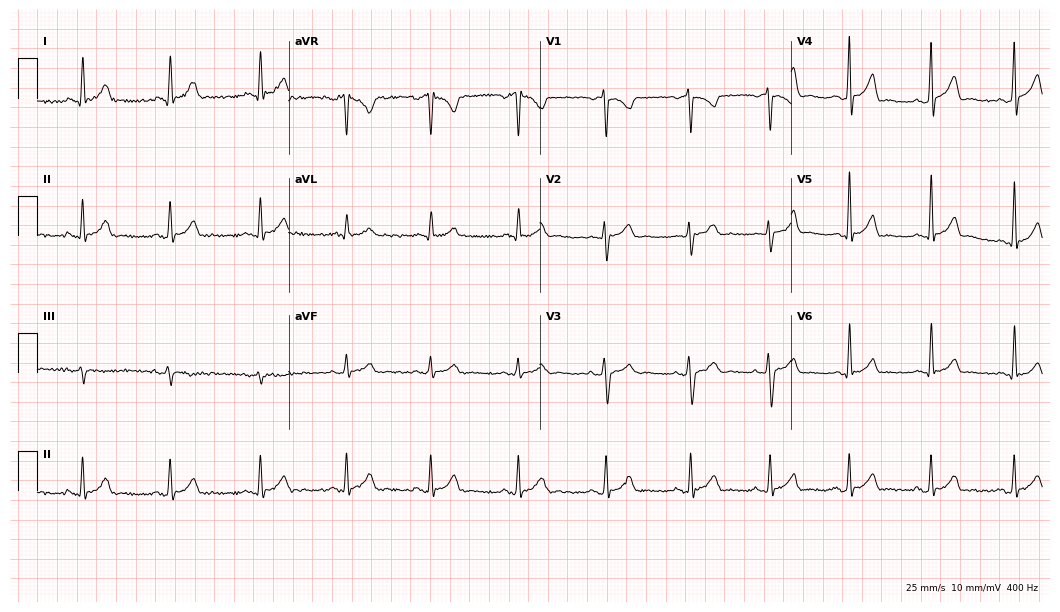
Electrocardiogram (10.2-second recording at 400 Hz), a man, 34 years old. Overall reading on record: normal ECG.